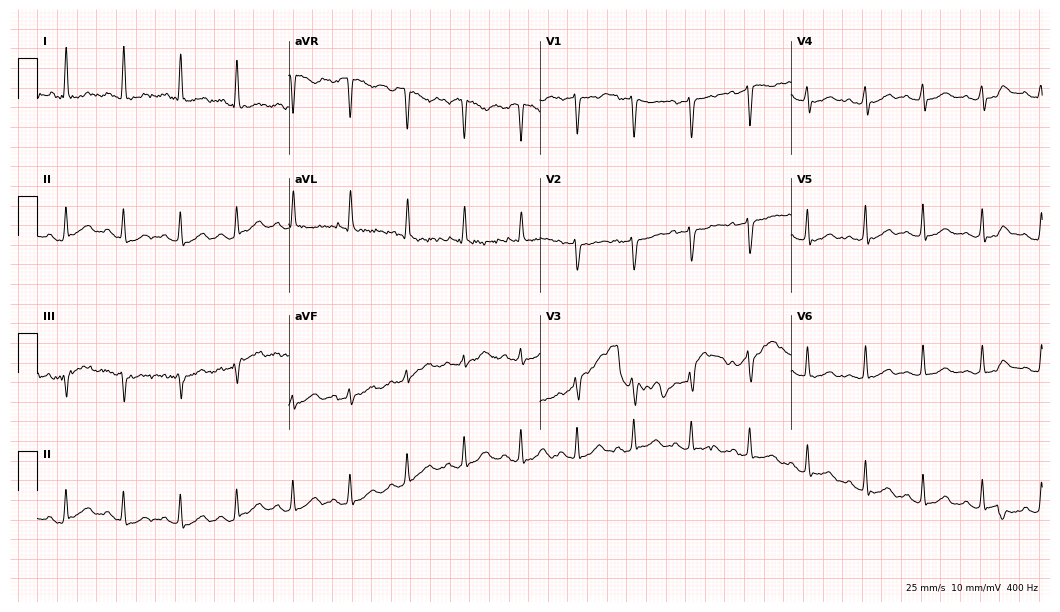
Electrocardiogram, a 47-year-old female. Of the six screened findings (first-degree AV block, right bundle branch block, left bundle branch block, sinus bradycardia, atrial fibrillation, sinus tachycardia), none is recorded.